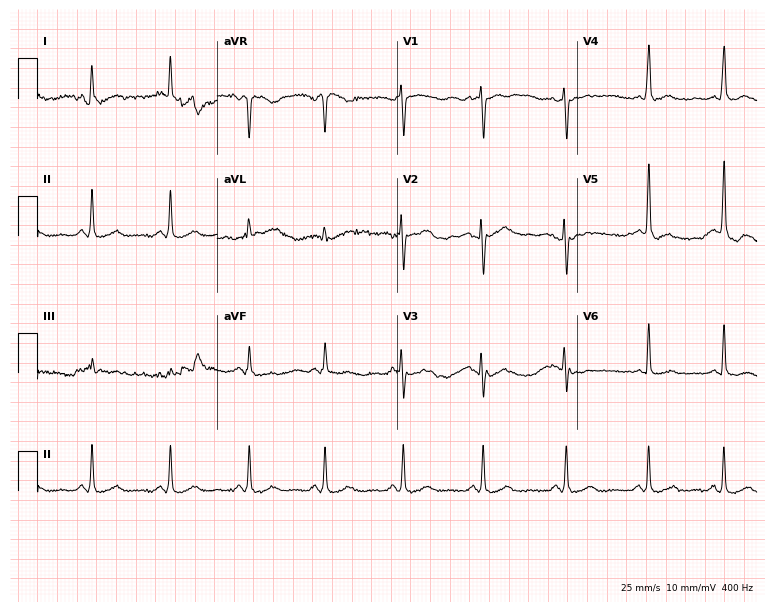
Resting 12-lead electrocardiogram. Patient: a 46-year-old female. None of these six findings is recorded: first-degree AV block, right bundle branch block (RBBB), left bundle branch block (LBBB), sinus bradycardia, atrial fibrillation (AF), sinus tachycardia. Findings outside these six are not listed.